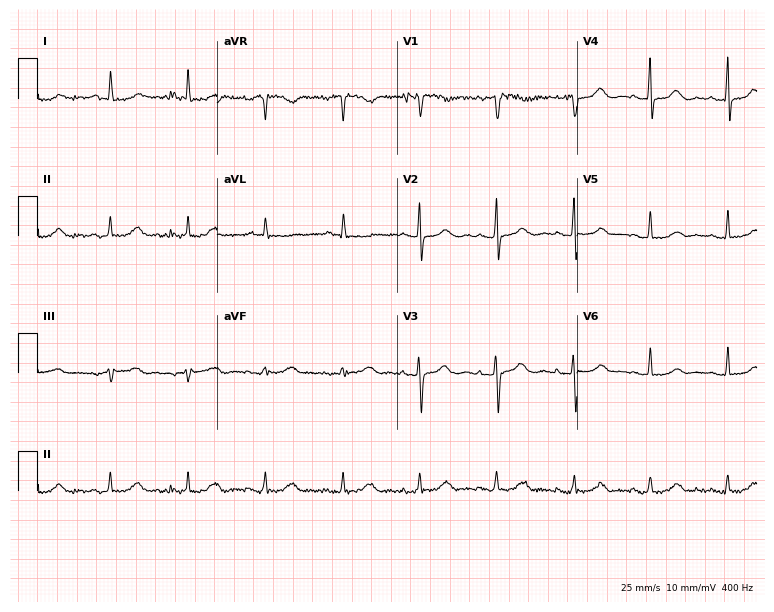
Electrocardiogram, a 63-year-old female patient. Of the six screened findings (first-degree AV block, right bundle branch block, left bundle branch block, sinus bradycardia, atrial fibrillation, sinus tachycardia), none is recorded.